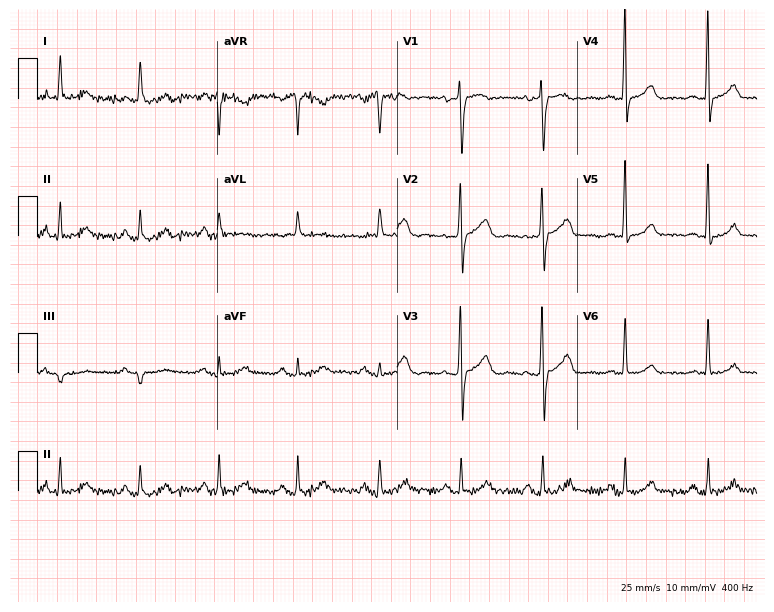
12-lead ECG from a female, 74 years old (7.3-second recording at 400 Hz). Recorded interpretation: within normal limits.